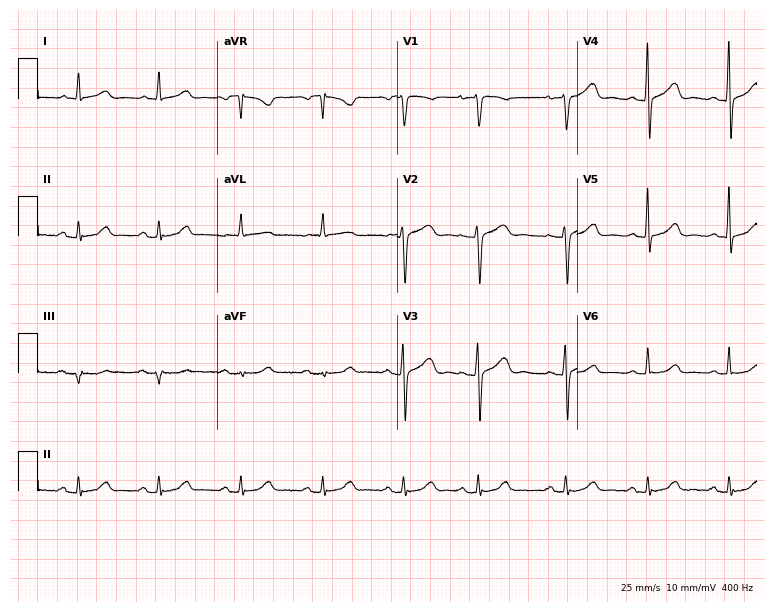
12-lead ECG (7.3-second recording at 400 Hz) from a female patient, 64 years old. Screened for six findings — first-degree AV block, right bundle branch block, left bundle branch block, sinus bradycardia, atrial fibrillation, sinus tachycardia — none is recorded. Other findings, if any, are not listed.